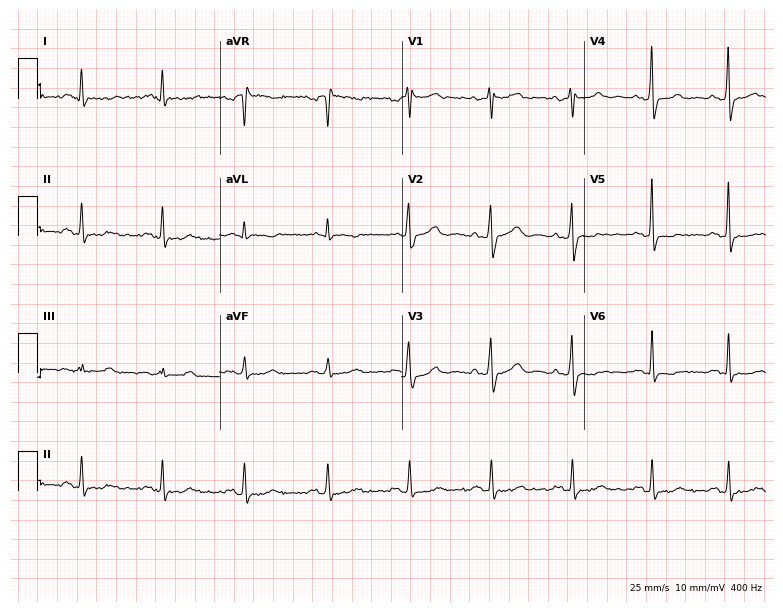
ECG — a 72-year-old male. Screened for six findings — first-degree AV block, right bundle branch block (RBBB), left bundle branch block (LBBB), sinus bradycardia, atrial fibrillation (AF), sinus tachycardia — none is recorded.